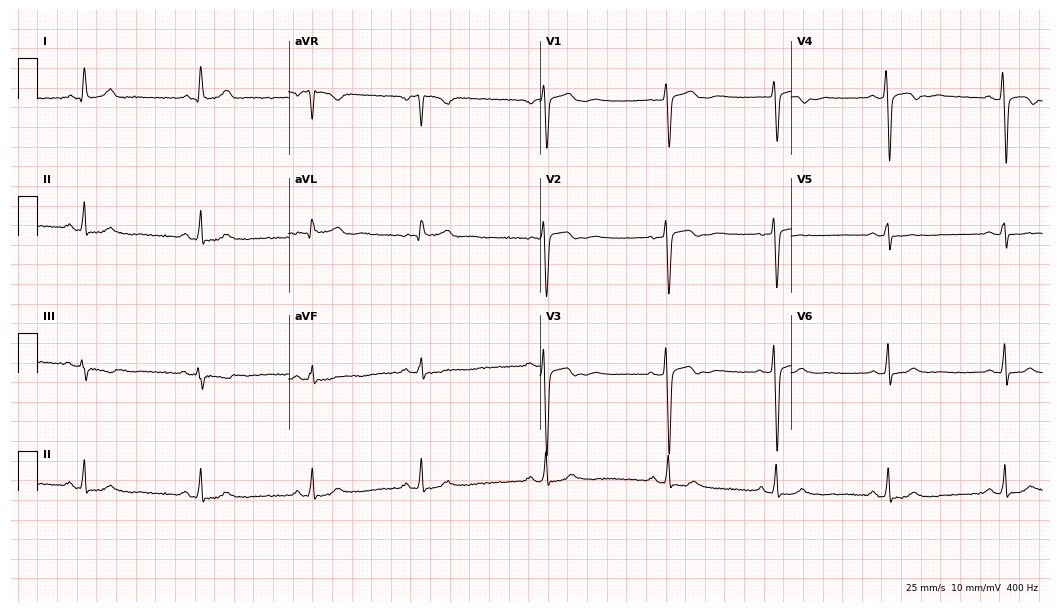
Resting 12-lead electrocardiogram (10.2-second recording at 400 Hz). Patient: a 42-year-old female. None of these six findings is recorded: first-degree AV block, right bundle branch block (RBBB), left bundle branch block (LBBB), sinus bradycardia, atrial fibrillation (AF), sinus tachycardia.